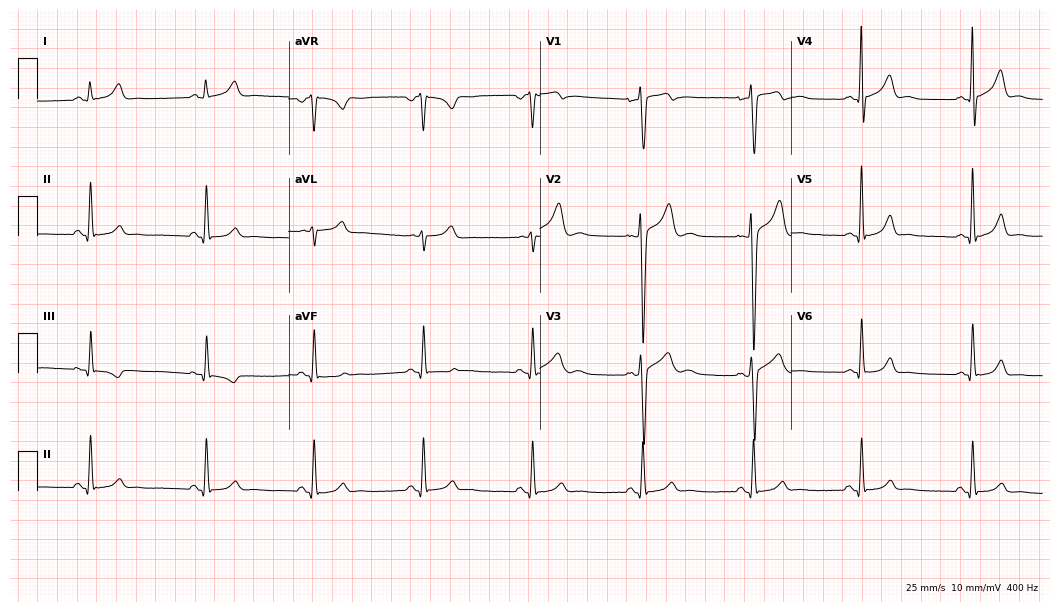
ECG — a 19-year-old male patient. Screened for six findings — first-degree AV block, right bundle branch block (RBBB), left bundle branch block (LBBB), sinus bradycardia, atrial fibrillation (AF), sinus tachycardia — none is recorded. Findings outside these six are not listed.